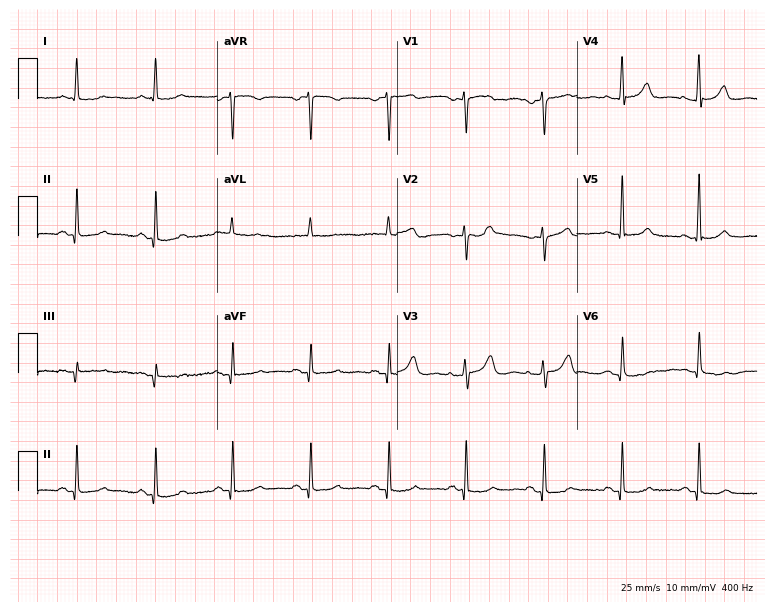
Standard 12-lead ECG recorded from a 61-year-old female. None of these six findings is recorded: first-degree AV block, right bundle branch block, left bundle branch block, sinus bradycardia, atrial fibrillation, sinus tachycardia. Only these six findings were labelled.